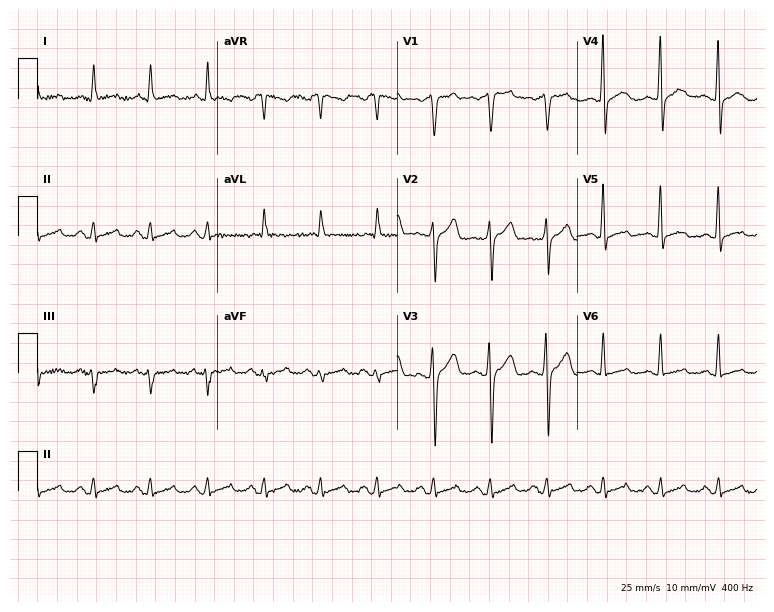
12-lead ECG from a male patient, 49 years old (7.3-second recording at 400 Hz). Shows sinus tachycardia (a sinus rate of 100 beats per minute or more).